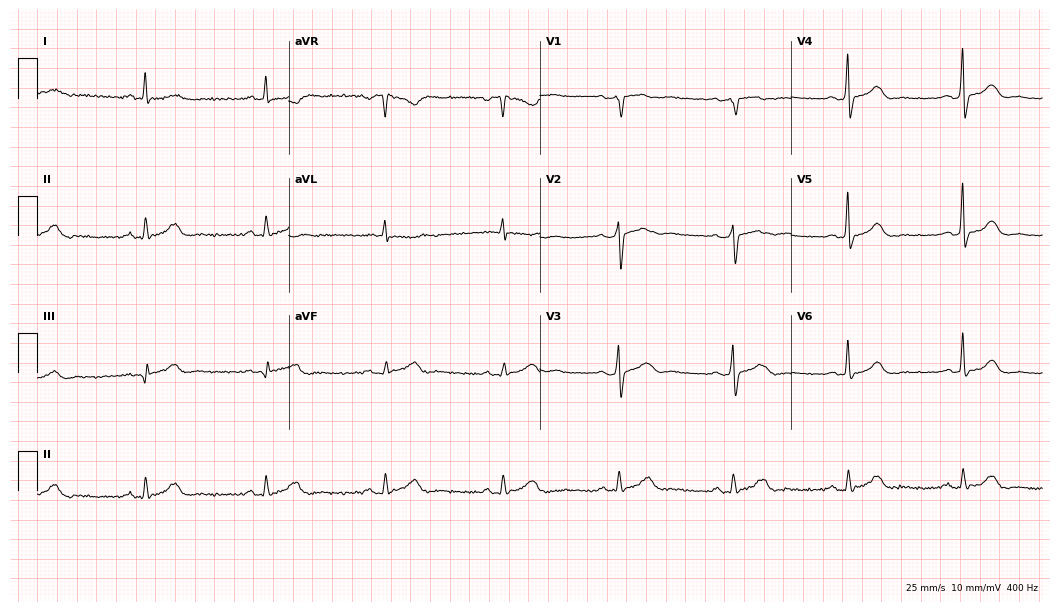
ECG (10.2-second recording at 400 Hz) — a 45-year-old male. Findings include sinus bradycardia (a sinus rate of 50 beats per minute or less).